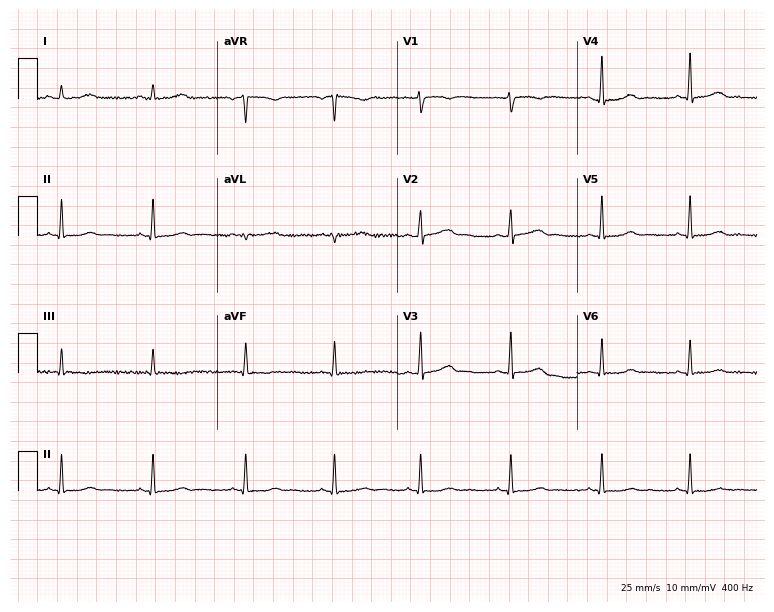
12-lead ECG from a woman, 34 years old. Screened for six findings — first-degree AV block, right bundle branch block, left bundle branch block, sinus bradycardia, atrial fibrillation, sinus tachycardia — none is recorded.